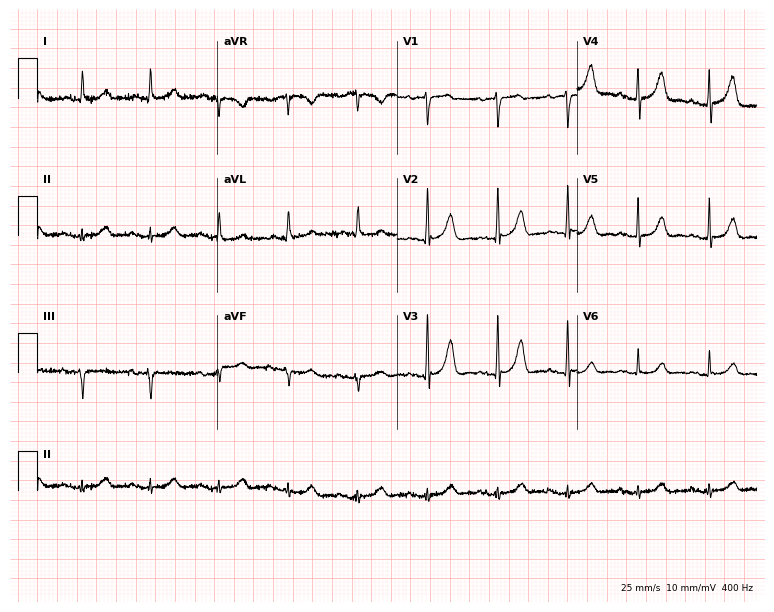
Standard 12-lead ECG recorded from a male patient, 82 years old (7.3-second recording at 400 Hz). None of these six findings is recorded: first-degree AV block, right bundle branch block, left bundle branch block, sinus bradycardia, atrial fibrillation, sinus tachycardia. Only these six findings were labelled.